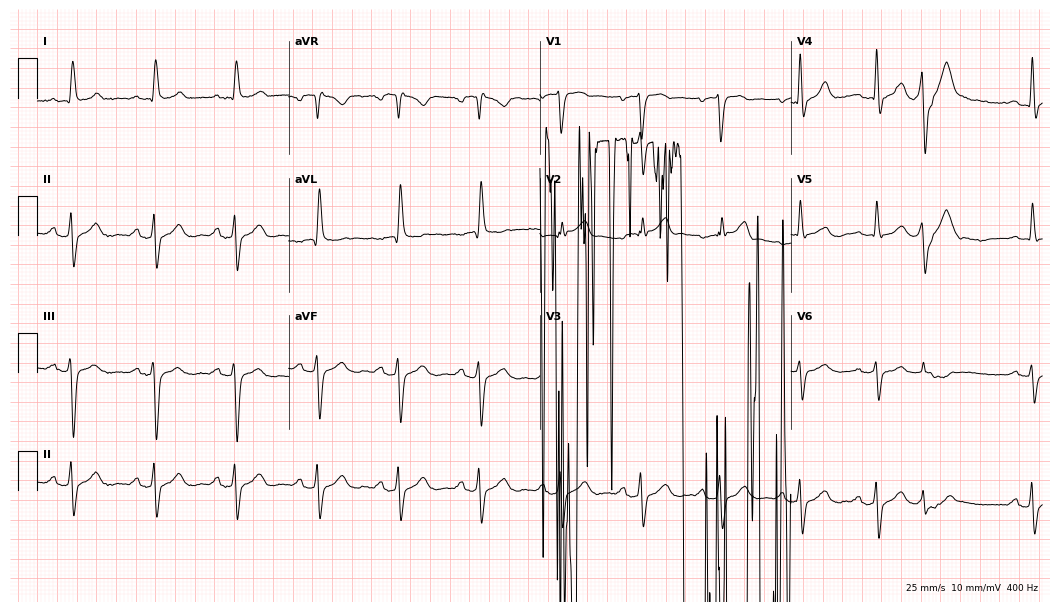
12-lead ECG (10.2-second recording at 400 Hz) from a 79-year-old man. Screened for six findings — first-degree AV block, right bundle branch block, left bundle branch block, sinus bradycardia, atrial fibrillation, sinus tachycardia — none is recorded.